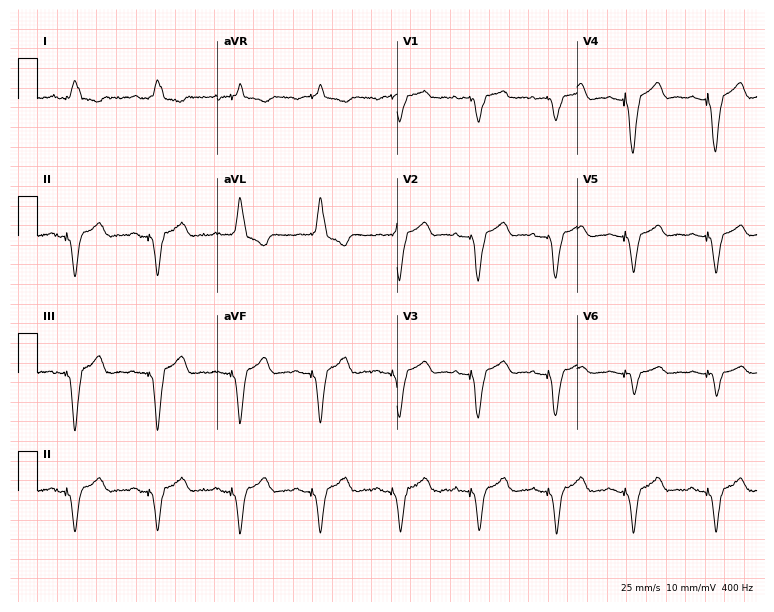
Standard 12-lead ECG recorded from a 43-year-old female patient (7.3-second recording at 400 Hz). None of these six findings is recorded: first-degree AV block, right bundle branch block (RBBB), left bundle branch block (LBBB), sinus bradycardia, atrial fibrillation (AF), sinus tachycardia.